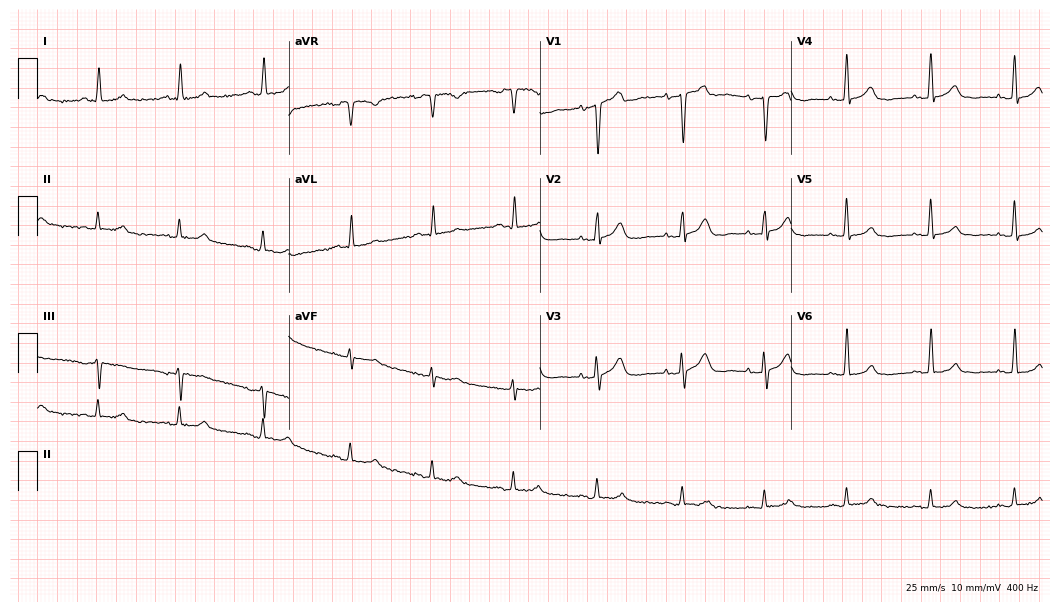
Electrocardiogram, a 63-year-old female patient. Overall reading on record: normal ECG.